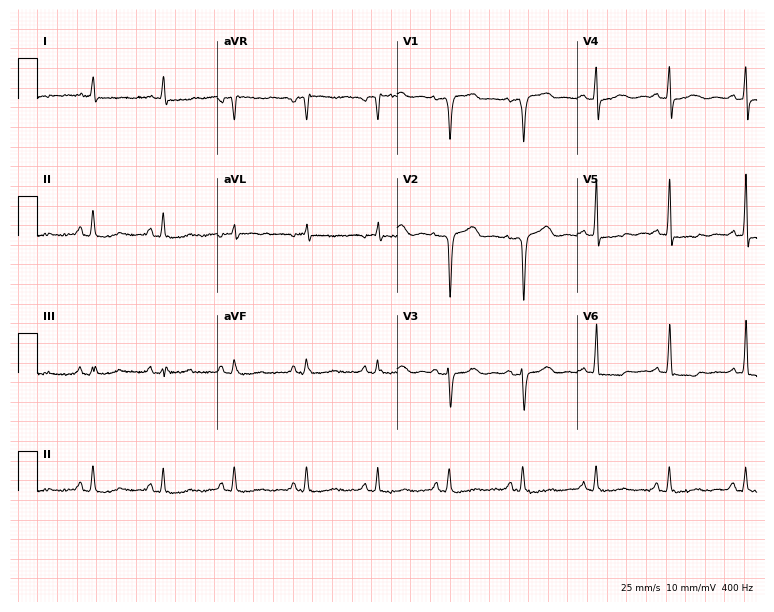
Electrocardiogram (7.3-second recording at 400 Hz), an 83-year-old female. Of the six screened findings (first-degree AV block, right bundle branch block, left bundle branch block, sinus bradycardia, atrial fibrillation, sinus tachycardia), none is recorded. Findings outside these six are not listed.